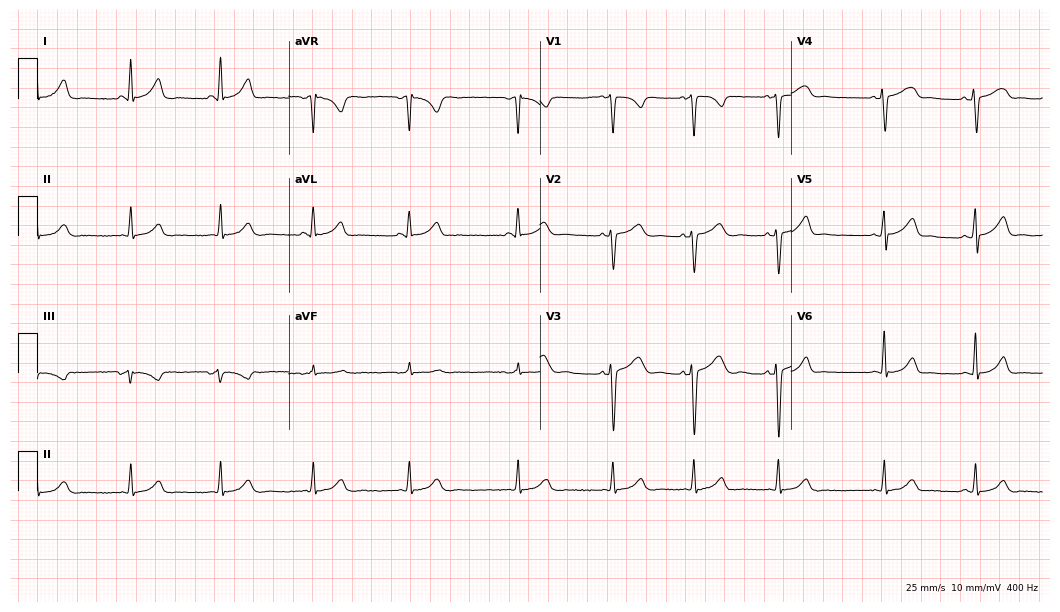
12-lead ECG from a female patient, 17 years old. Recorded interpretation: within normal limits.